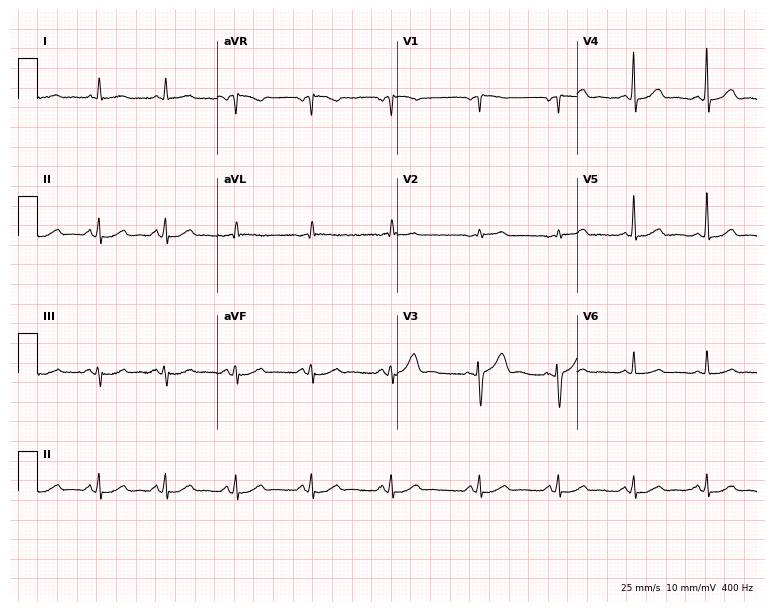
12-lead ECG from a male patient, 70 years old. Labelled as a normal ECG.